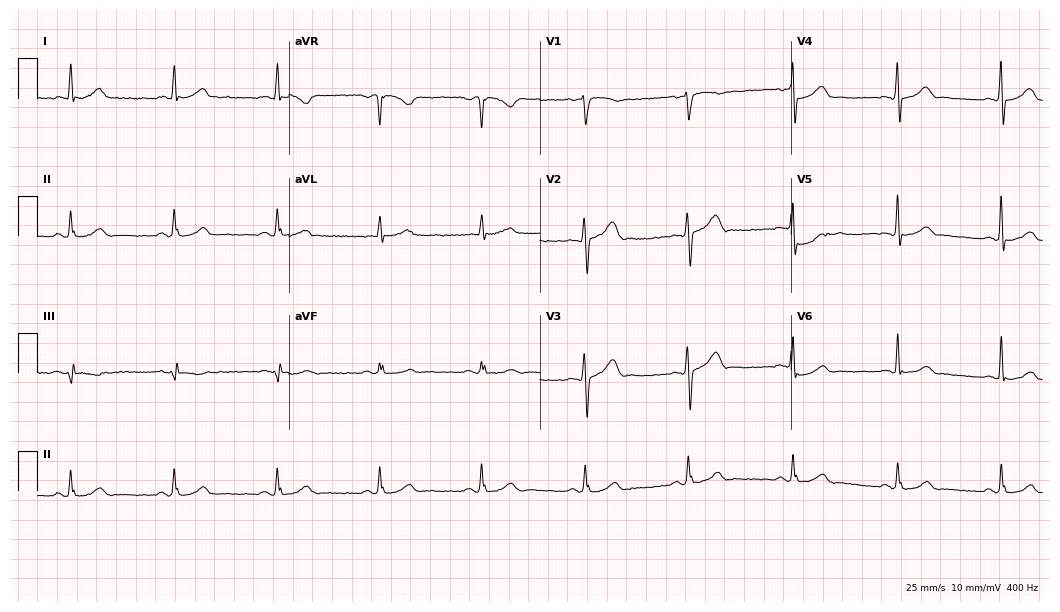
Electrocardiogram, a male, 61 years old. Overall reading on record: normal ECG.